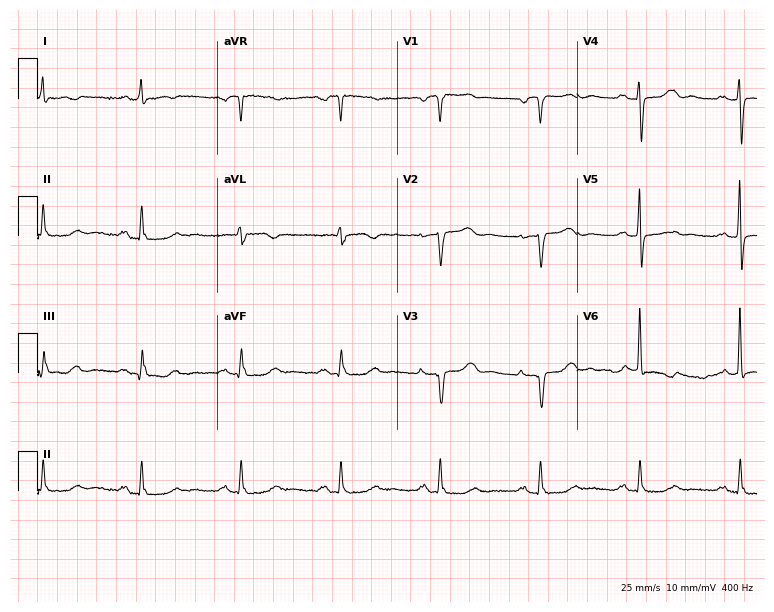
Resting 12-lead electrocardiogram. Patient: a woman, 75 years old. None of these six findings is recorded: first-degree AV block, right bundle branch block, left bundle branch block, sinus bradycardia, atrial fibrillation, sinus tachycardia.